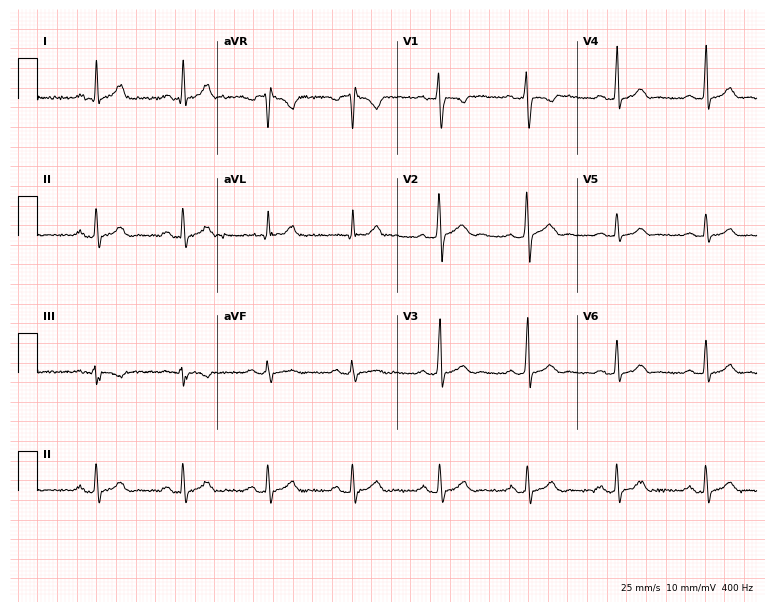
12-lead ECG from a 35-year-old man. Labelled as a normal ECG.